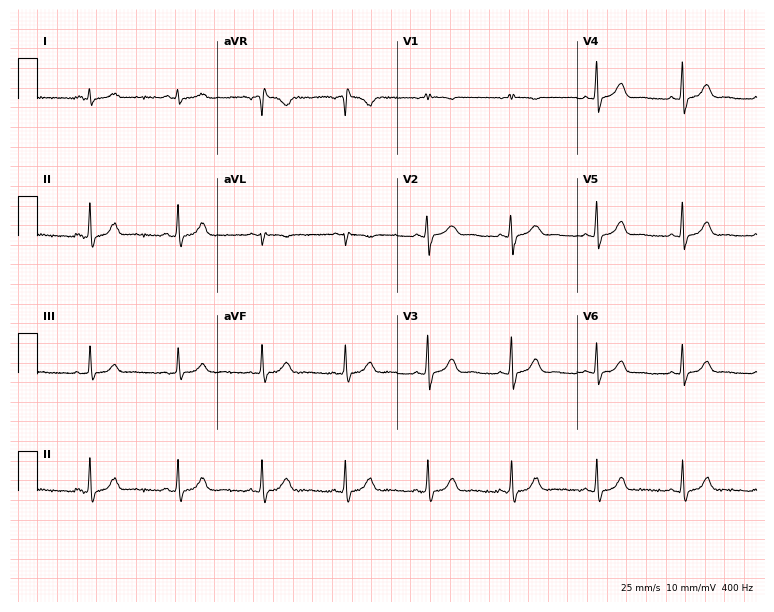
12-lead ECG from a 23-year-old female. Screened for six findings — first-degree AV block, right bundle branch block, left bundle branch block, sinus bradycardia, atrial fibrillation, sinus tachycardia — none is recorded. Only these six findings were labelled.